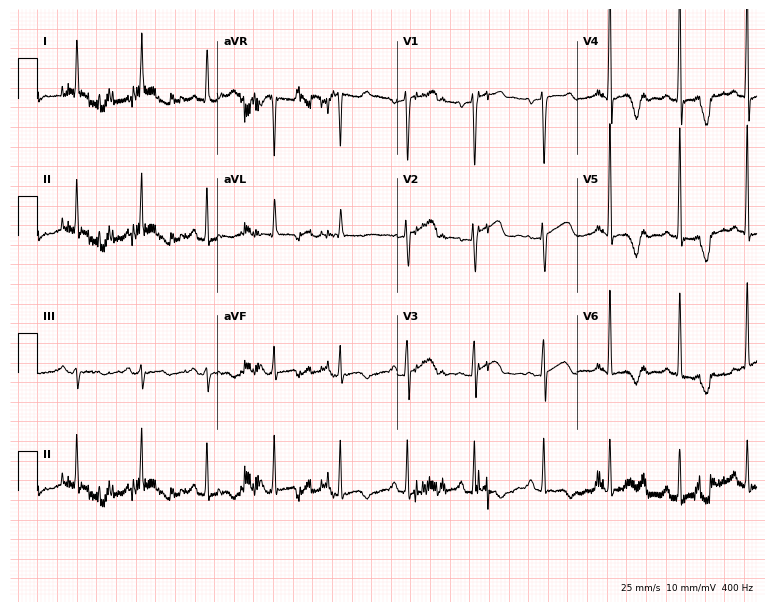
12-lead ECG from a female patient, 57 years old (7.3-second recording at 400 Hz). No first-degree AV block, right bundle branch block (RBBB), left bundle branch block (LBBB), sinus bradycardia, atrial fibrillation (AF) or sinus tachycardia recorded for this tracing. Other findings, if any, are not listed.